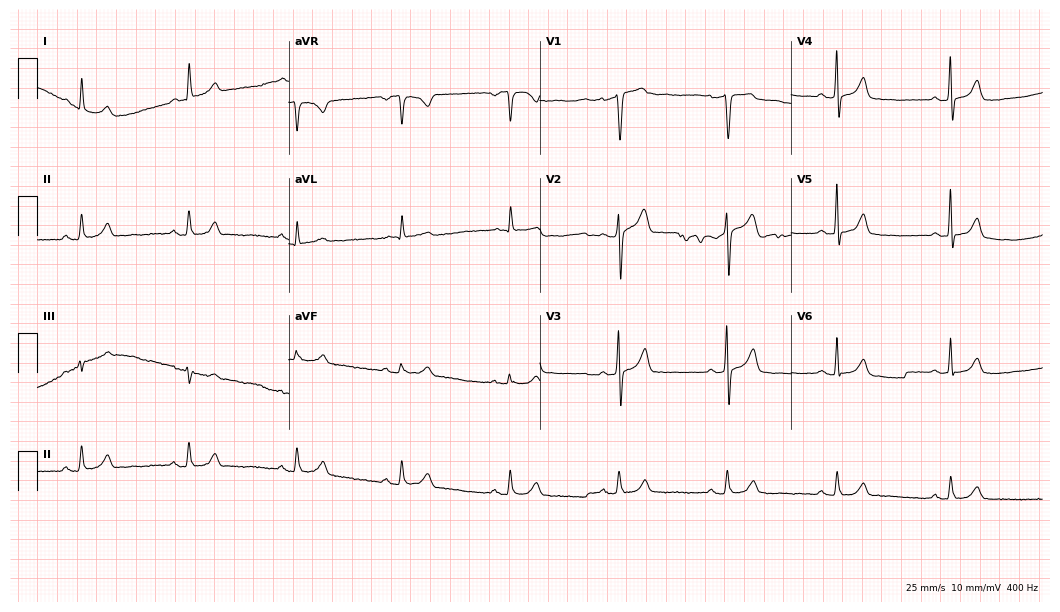
ECG (10.2-second recording at 400 Hz) — a 67-year-old woman. Labelled as a normal ECG.